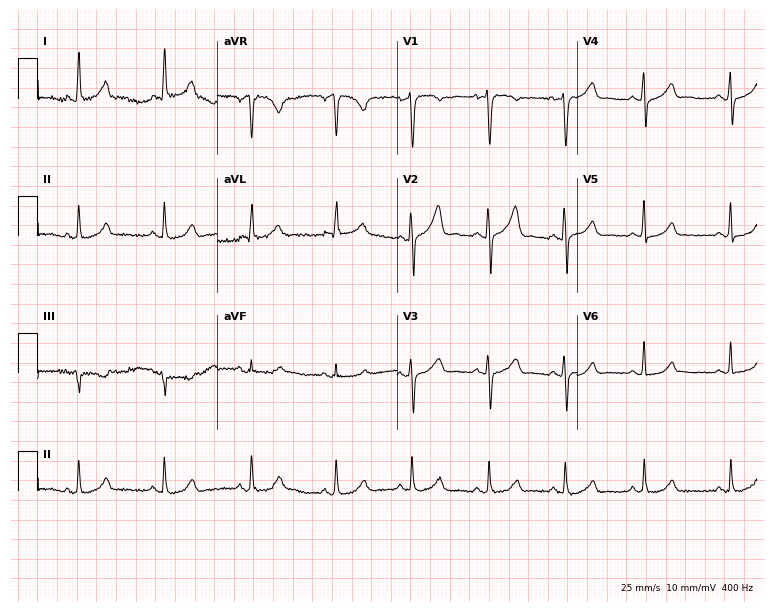
Electrocardiogram, a female patient, 41 years old. Overall reading on record: normal ECG.